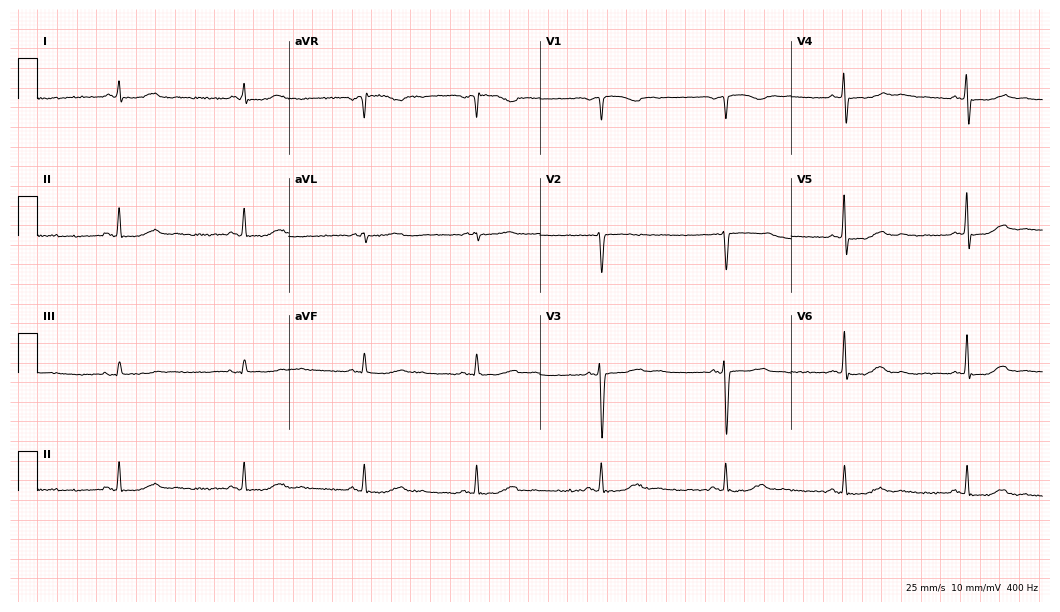
Resting 12-lead electrocardiogram. Patient: a female, 63 years old. The tracing shows sinus bradycardia (a sinus rate of 50 beats per minute or less).